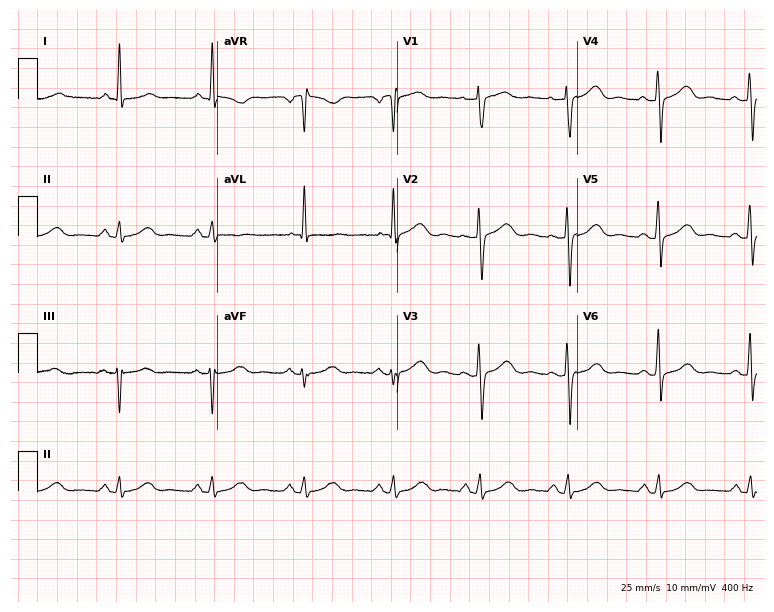
Resting 12-lead electrocardiogram. Patient: a 58-year-old woman. Read as a normal ECG.